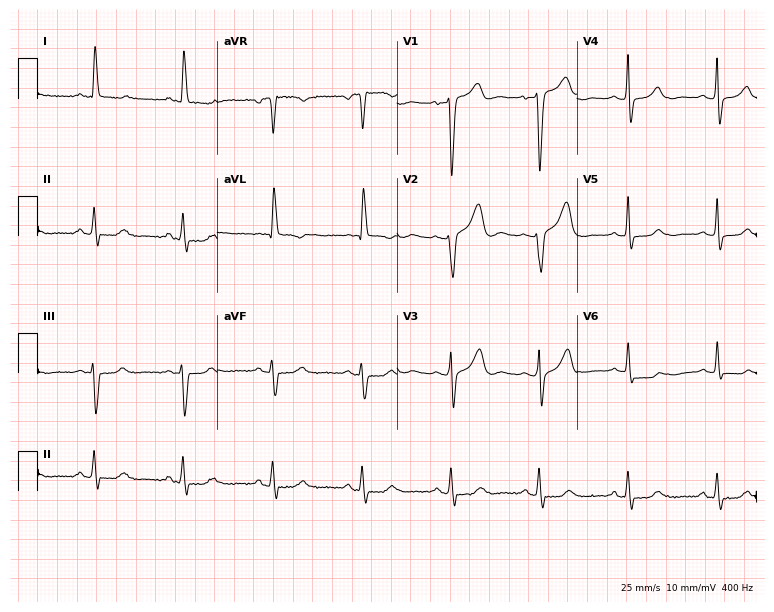
Electrocardiogram (7.3-second recording at 400 Hz), a woman, 63 years old. Of the six screened findings (first-degree AV block, right bundle branch block, left bundle branch block, sinus bradycardia, atrial fibrillation, sinus tachycardia), none is recorded.